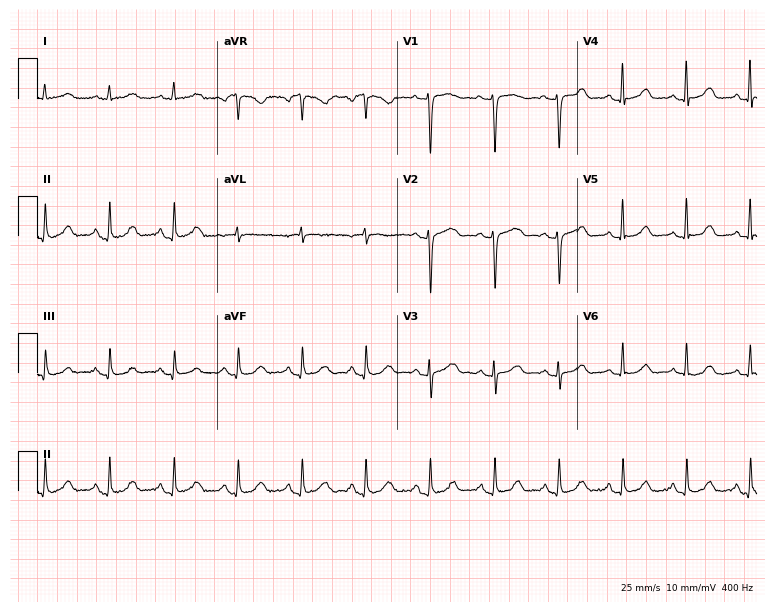
12-lead ECG from a woman, 56 years old. Recorded interpretation: within normal limits.